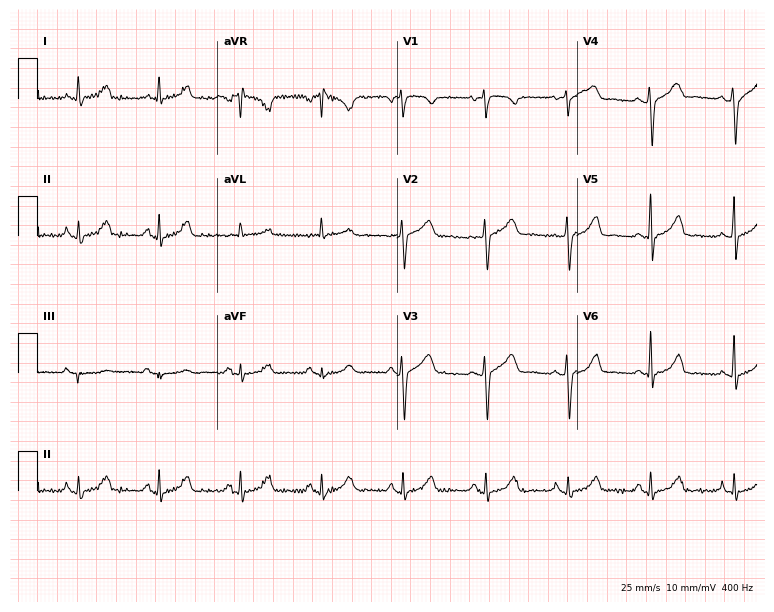
Resting 12-lead electrocardiogram (7.3-second recording at 400 Hz). Patient: a female, 47 years old. None of these six findings is recorded: first-degree AV block, right bundle branch block, left bundle branch block, sinus bradycardia, atrial fibrillation, sinus tachycardia. Only these six findings were labelled.